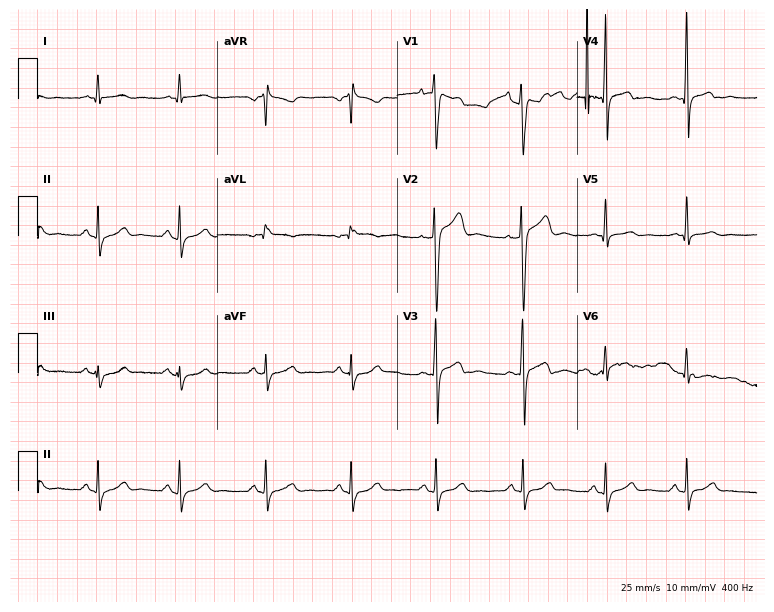
ECG — a 22-year-old male. Screened for six findings — first-degree AV block, right bundle branch block (RBBB), left bundle branch block (LBBB), sinus bradycardia, atrial fibrillation (AF), sinus tachycardia — none is recorded.